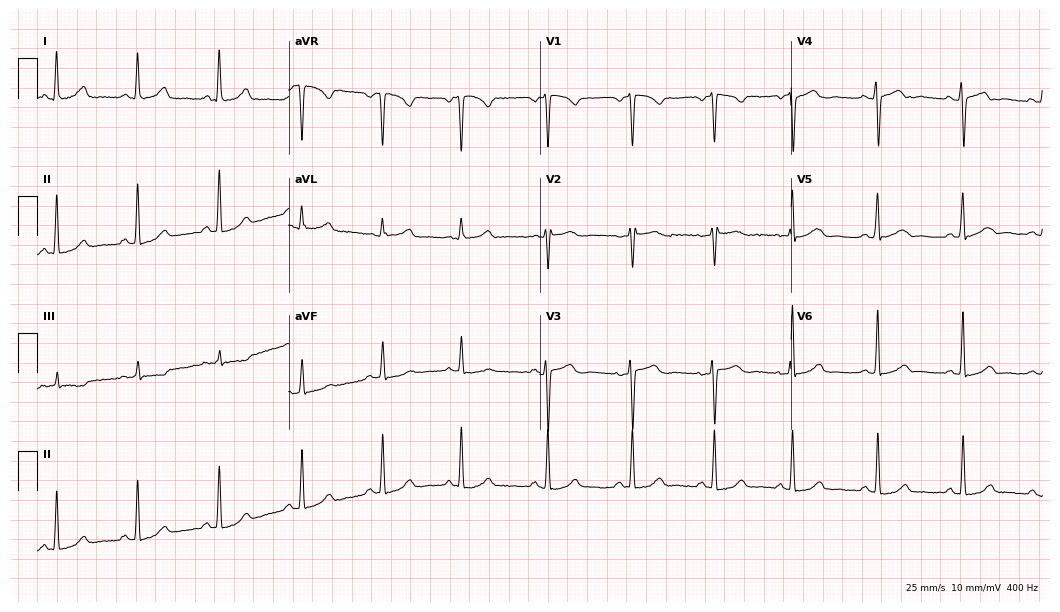
Standard 12-lead ECG recorded from a 32-year-old woman. Read as a normal ECG.